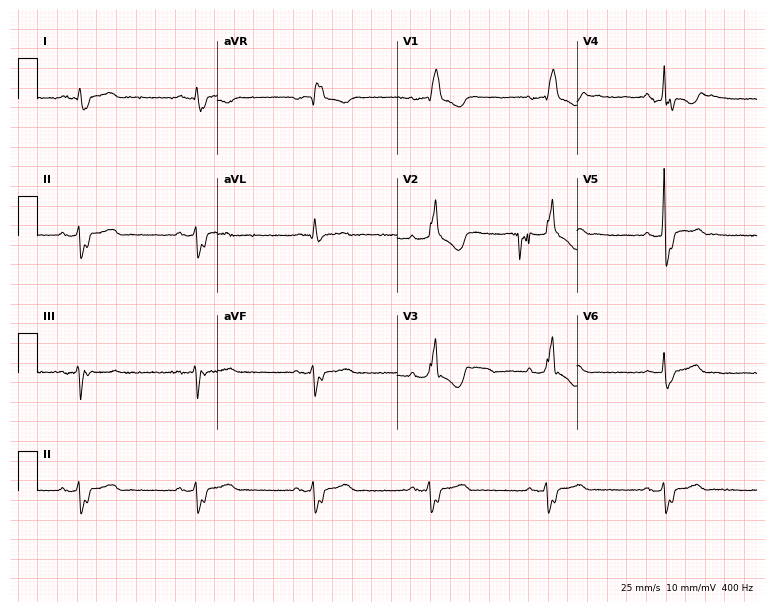
12-lead ECG from a 76-year-old female. Findings include right bundle branch block (RBBB).